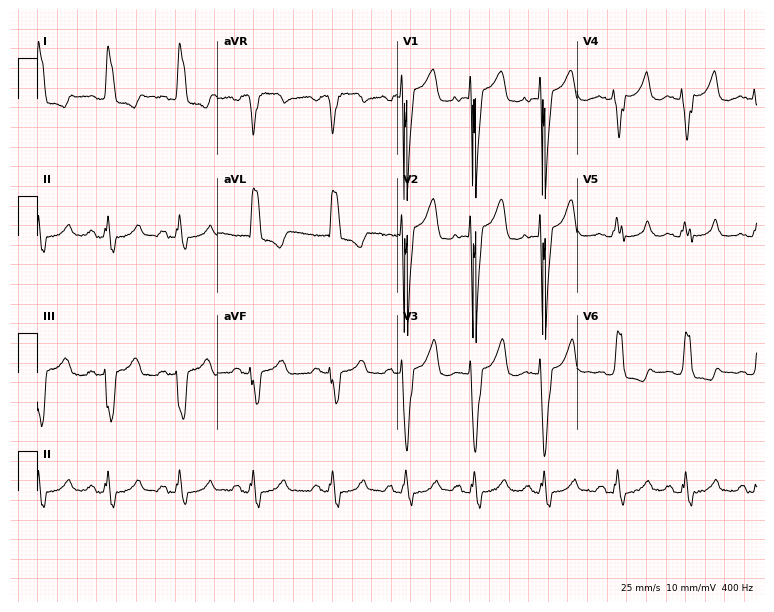
12-lead ECG from a 70-year-old female. Shows left bundle branch block.